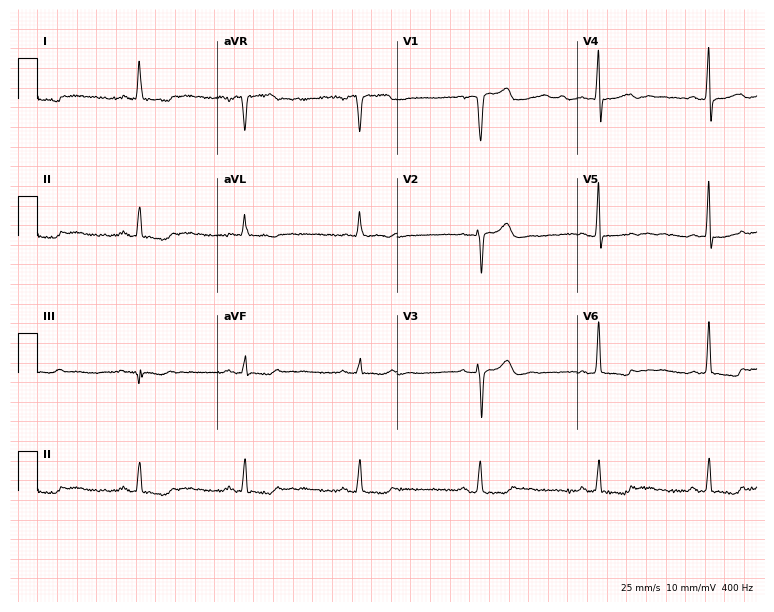
Electrocardiogram (7.3-second recording at 400 Hz), a woman, 46 years old. Of the six screened findings (first-degree AV block, right bundle branch block (RBBB), left bundle branch block (LBBB), sinus bradycardia, atrial fibrillation (AF), sinus tachycardia), none is recorded.